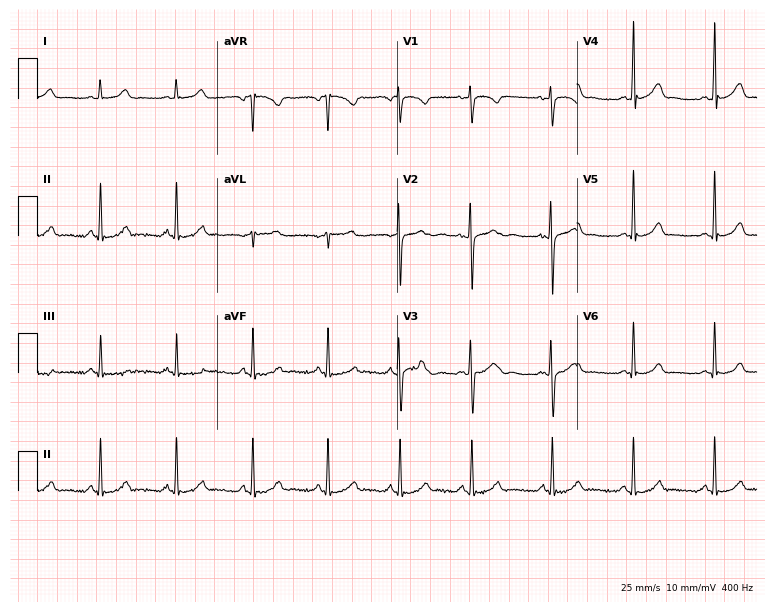
12-lead ECG from an 18-year-old female patient. Recorded interpretation: within normal limits.